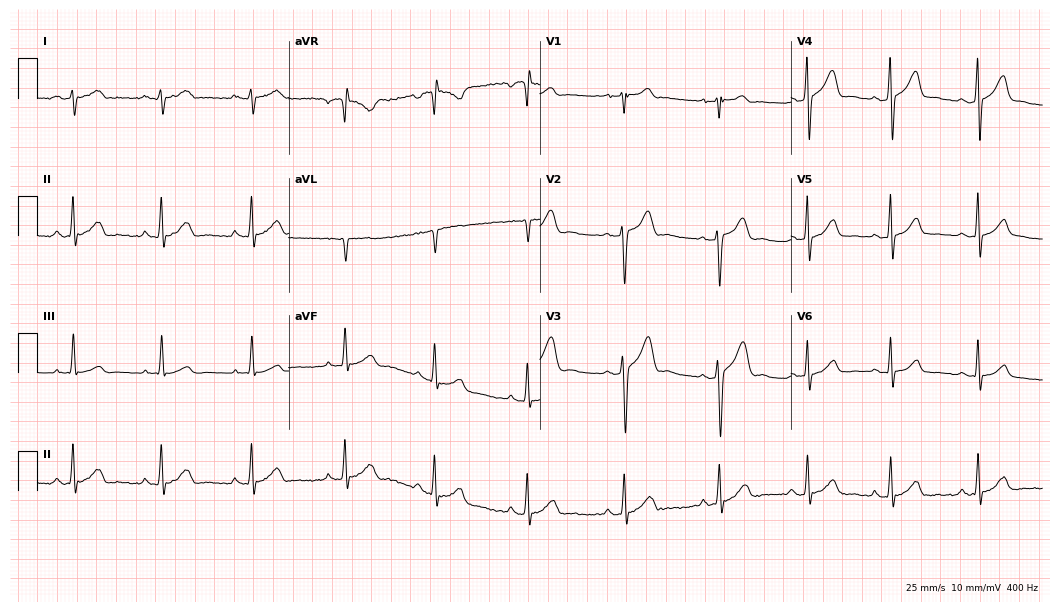
Standard 12-lead ECG recorded from a man, 23 years old. None of these six findings is recorded: first-degree AV block, right bundle branch block, left bundle branch block, sinus bradycardia, atrial fibrillation, sinus tachycardia. Findings outside these six are not listed.